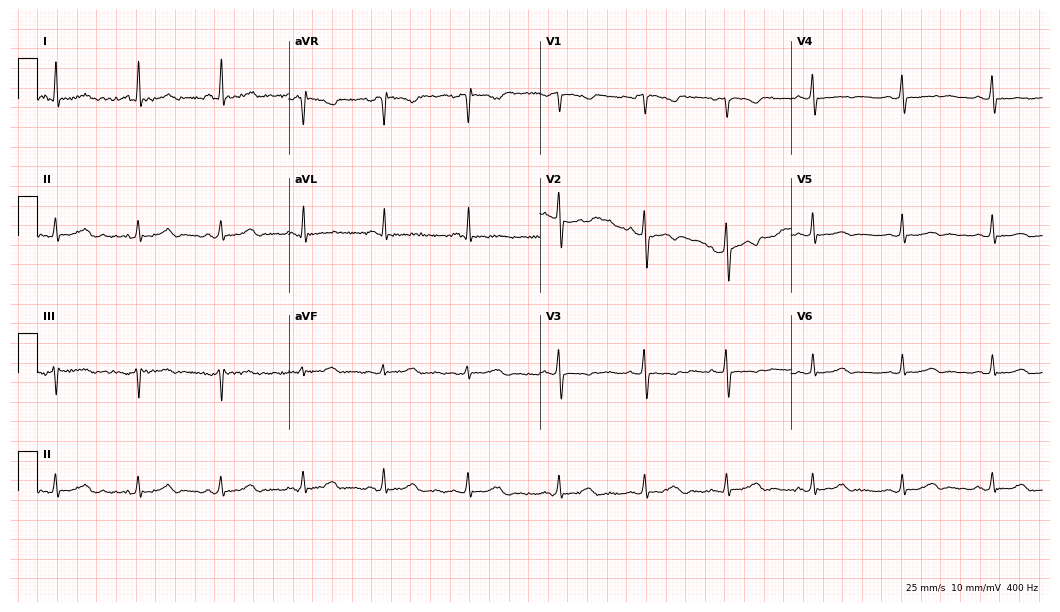
Electrocardiogram (10.2-second recording at 400 Hz), a female, 56 years old. Overall reading on record: normal ECG.